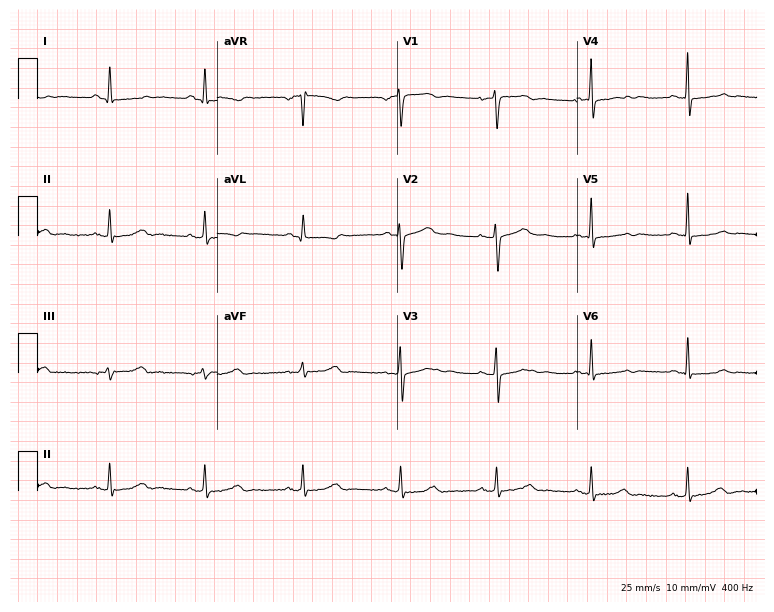
12-lead ECG from a woman, 60 years old. No first-degree AV block, right bundle branch block, left bundle branch block, sinus bradycardia, atrial fibrillation or sinus tachycardia recorded for this tracing.